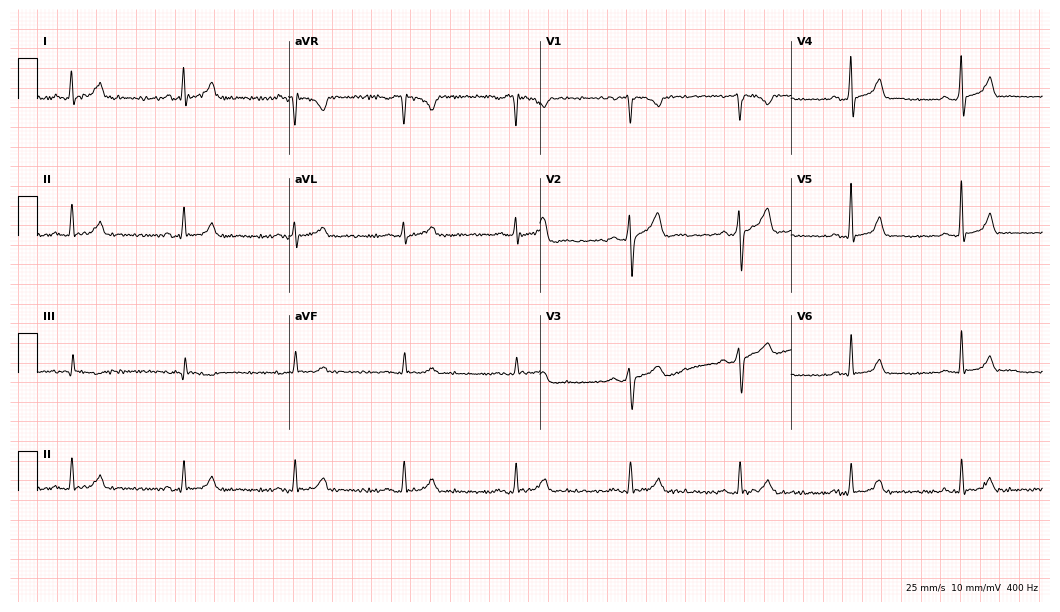
12-lead ECG from a 35-year-old male (10.2-second recording at 400 Hz). No first-degree AV block, right bundle branch block, left bundle branch block, sinus bradycardia, atrial fibrillation or sinus tachycardia recorded for this tracing.